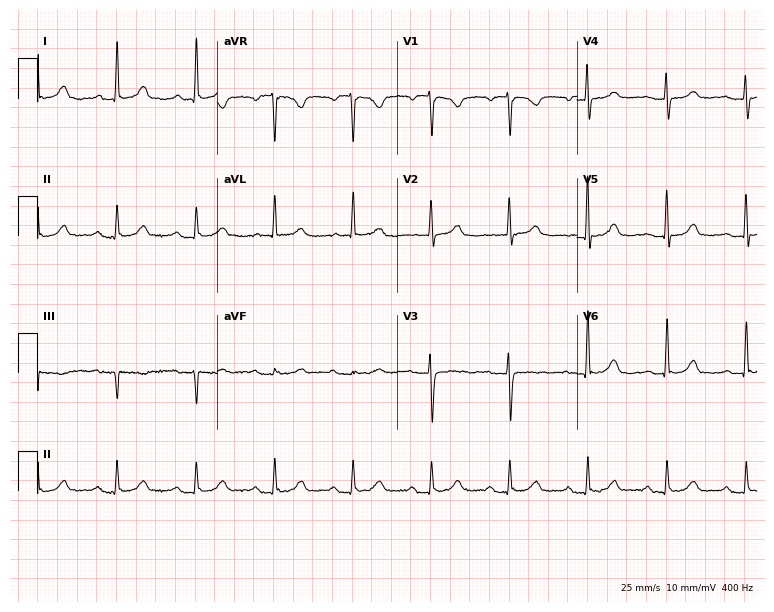
Electrocardiogram (7.3-second recording at 400 Hz), a 75-year-old female patient. Overall reading on record: normal ECG.